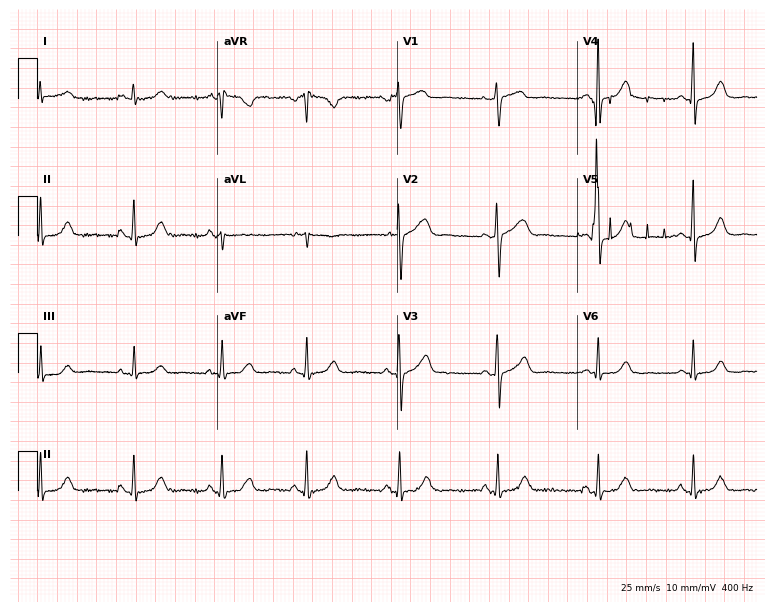
12-lead ECG from a woman, 46 years old (7.3-second recording at 400 Hz). Recorded interpretation: within normal limits.